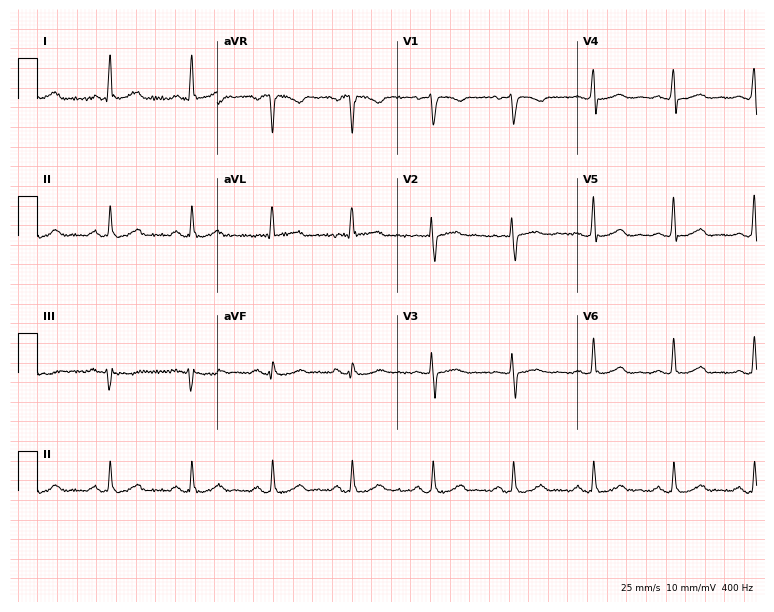
Resting 12-lead electrocardiogram. Patient: a female, 65 years old. None of these six findings is recorded: first-degree AV block, right bundle branch block (RBBB), left bundle branch block (LBBB), sinus bradycardia, atrial fibrillation (AF), sinus tachycardia. Only these six findings were labelled.